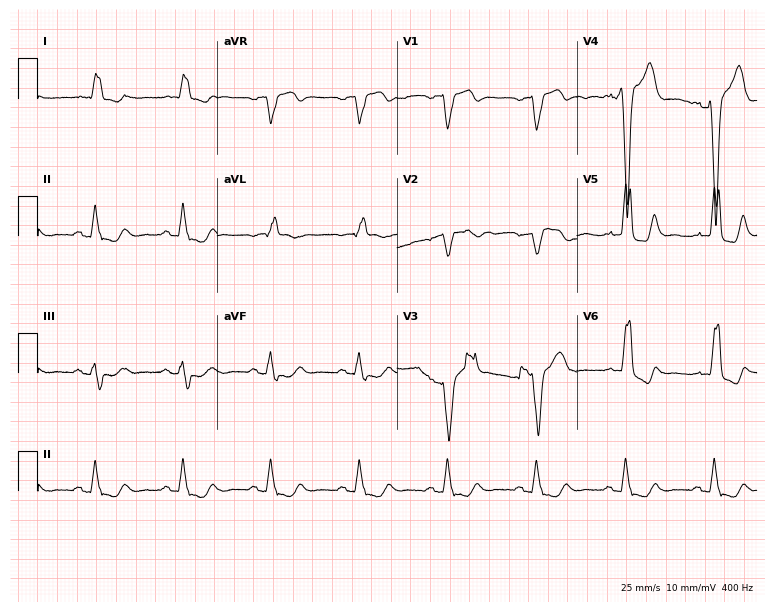
ECG (7.3-second recording at 400 Hz) — an 81-year-old male. Findings include left bundle branch block.